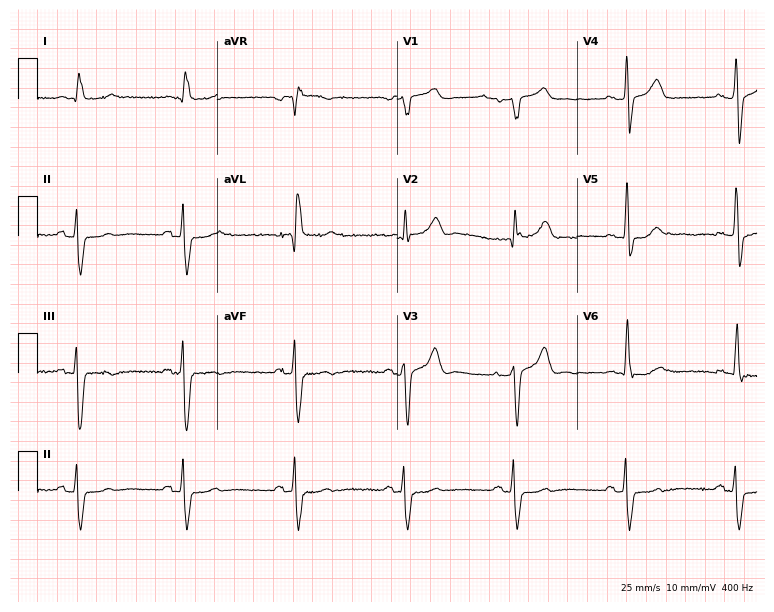
Standard 12-lead ECG recorded from a male, 84 years old. None of these six findings is recorded: first-degree AV block, right bundle branch block, left bundle branch block, sinus bradycardia, atrial fibrillation, sinus tachycardia.